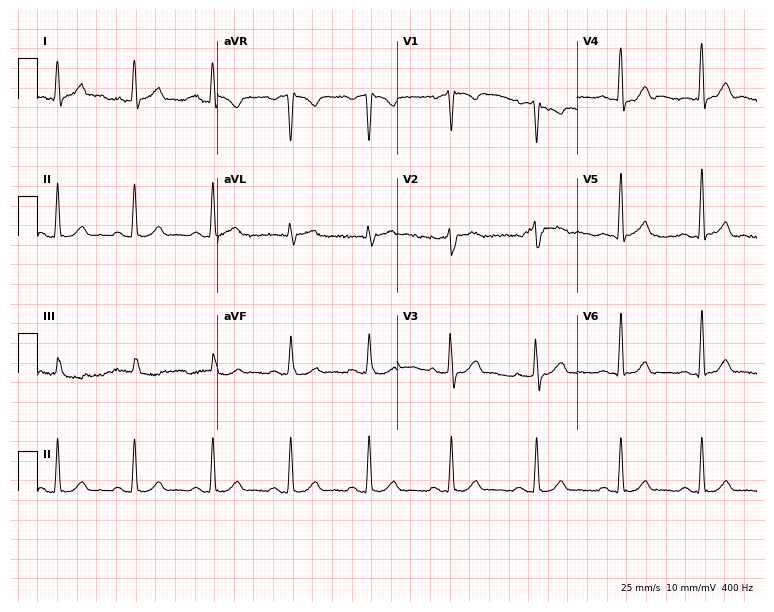
Electrocardiogram (7.3-second recording at 400 Hz), a male patient, 45 years old. Of the six screened findings (first-degree AV block, right bundle branch block (RBBB), left bundle branch block (LBBB), sinus bradycardia, atrial fibrillation (AF), sinus tachycardia), none is recorded. Only these six findings were labelled.